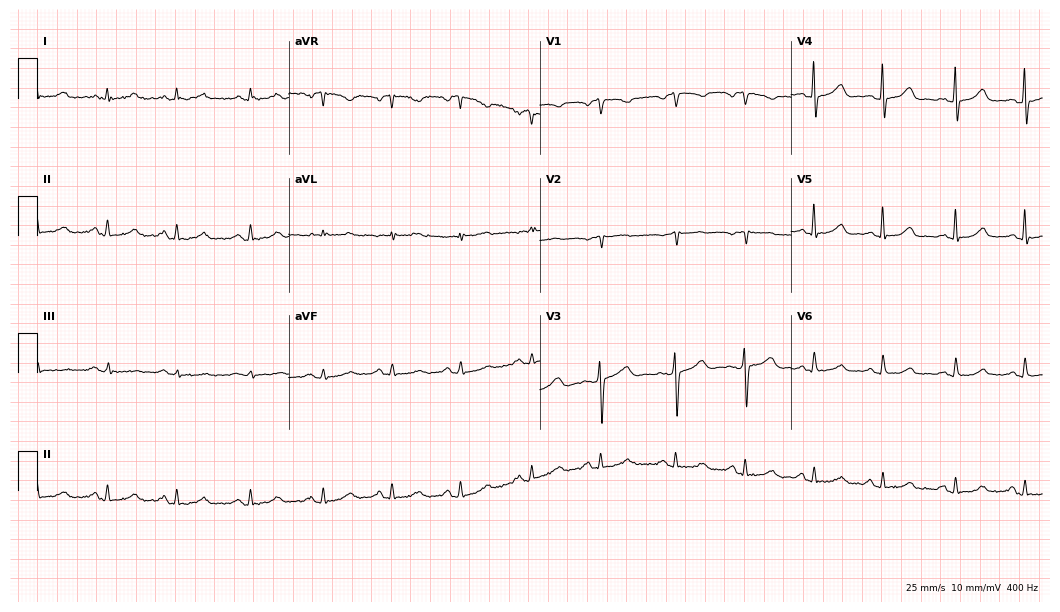
12-lead ECG from a 73-year-old woman. Recorded interpretation: within normal limits.